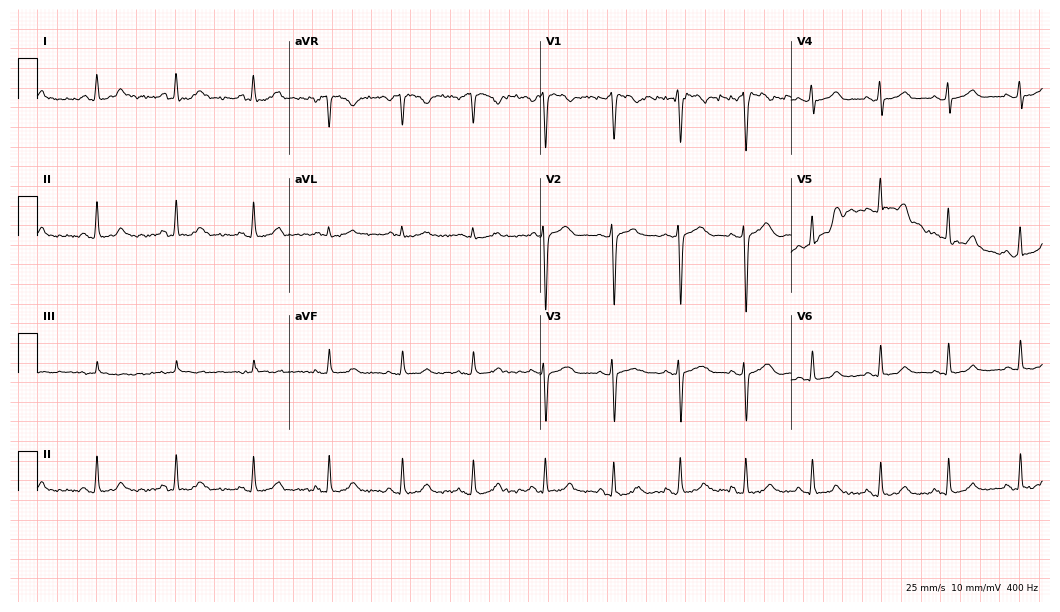
Resting 12-lead electrocardiogram. Patient: a male, 36 years old. Read as a normal ECG.